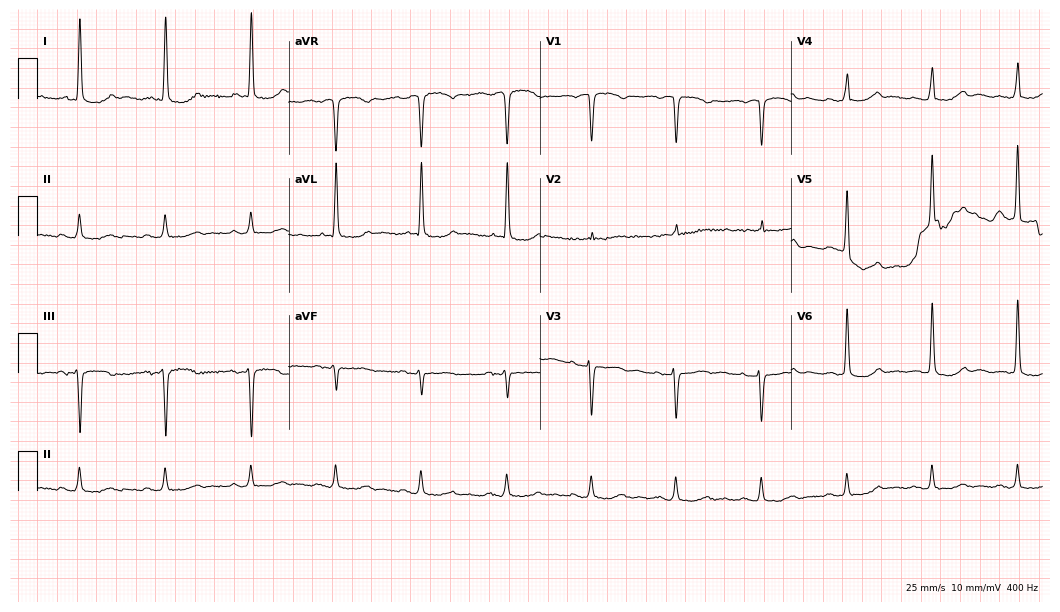
12-lead ECG from a 76-year-old male. Screened for six findings — first-degree AV block, right bundle branch block (RBBB), left bundle branch block (LBBB), sinus bradycardia, atrial fibrillation (AF), sinus tachycardia — none is recorded.